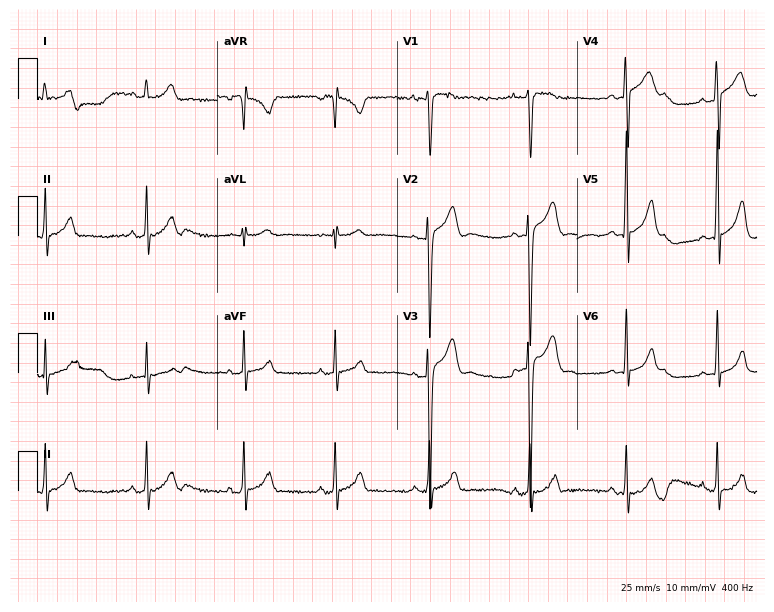
12-lead ECG from a 17-year-old male. Screened for six findings — first-degree AV block, right bundle branch block, left bundle branch block, sinus bradycardia, atrial fibrillation, sinus tachycardia — none is recorded.